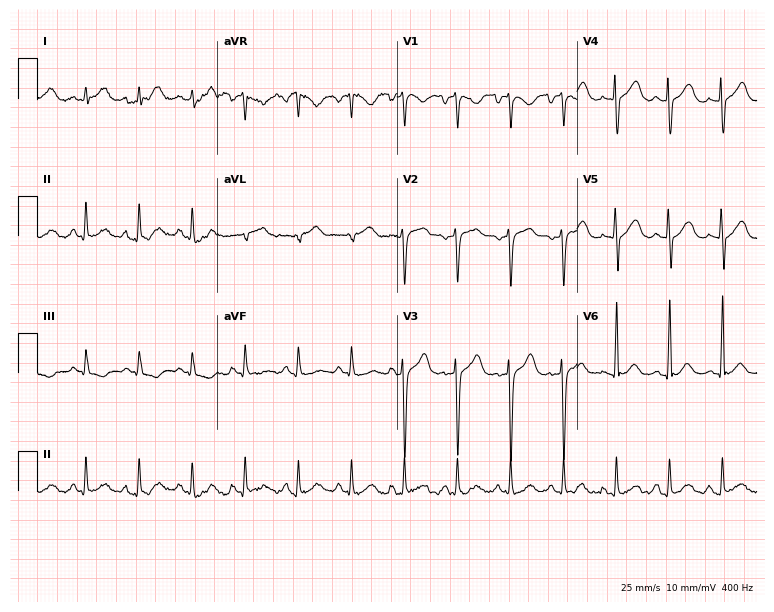
Electrocardiogram, a 31-year-old male patient. Interpretation includes sinus tachycardia (a sinus rate of 100 beats per minute or more).